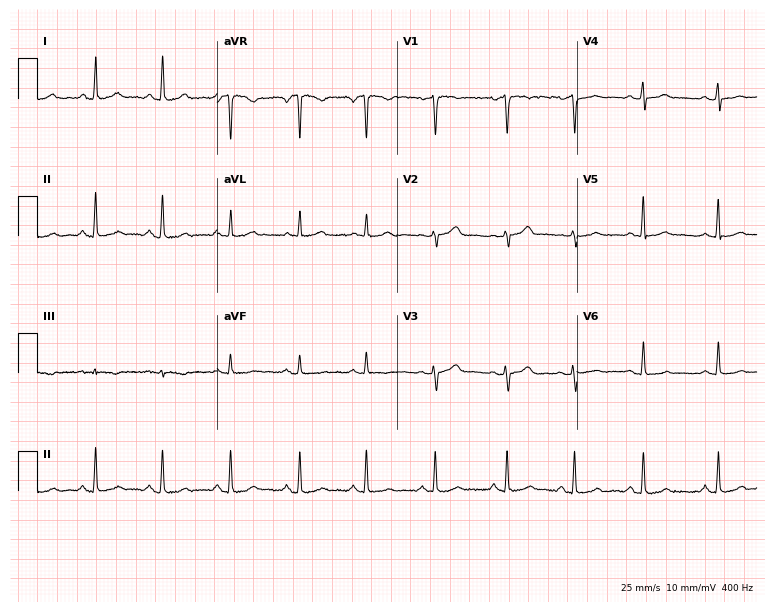
12-lead ECG from a 44-year-old woman. Labelled as a normal ECG.